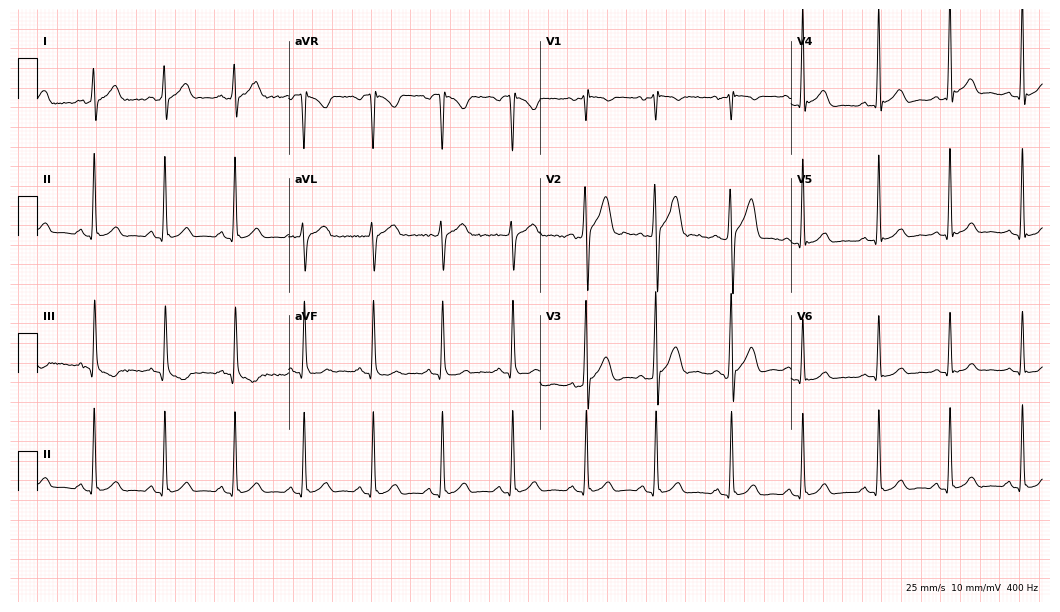
Resting 12-lead electrocardiogram (10.2-second recording at 400 Hz). Patient: a male, 33 years old. Read as a normal ECG.